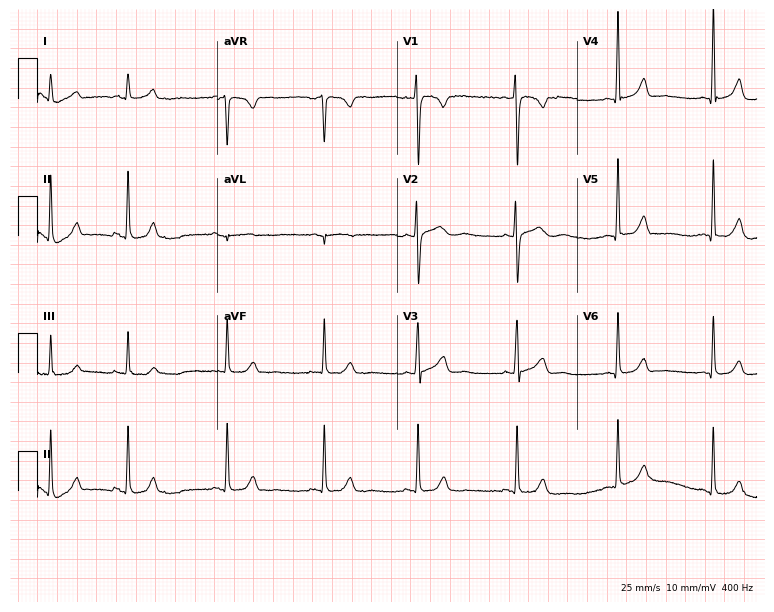
Standard 12-lead ECG recorded from a 19-year-old female patient. Read as a normal ECG.